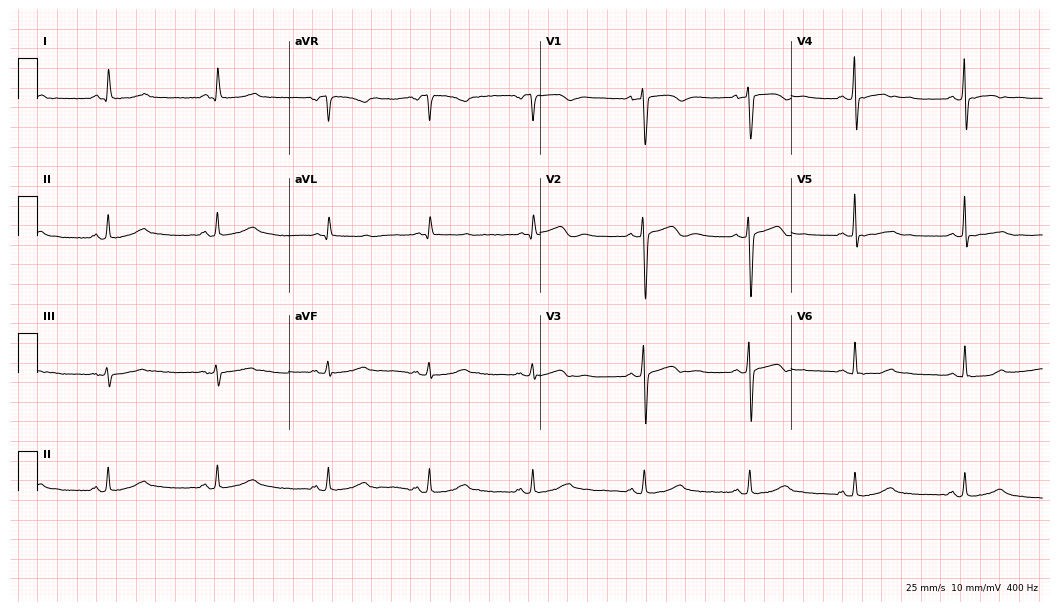
12-lead ECG from a female patient, 41 years old. Labelled as a normal ECG.